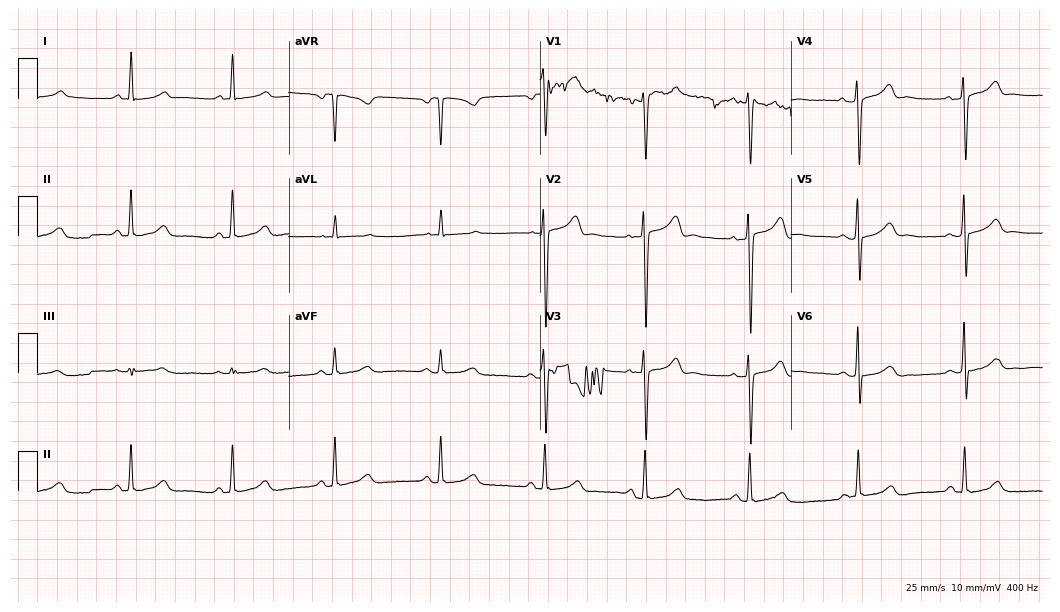
Electrocardiogram, a 44-year-old female. Overall reading on record: normal ECG.